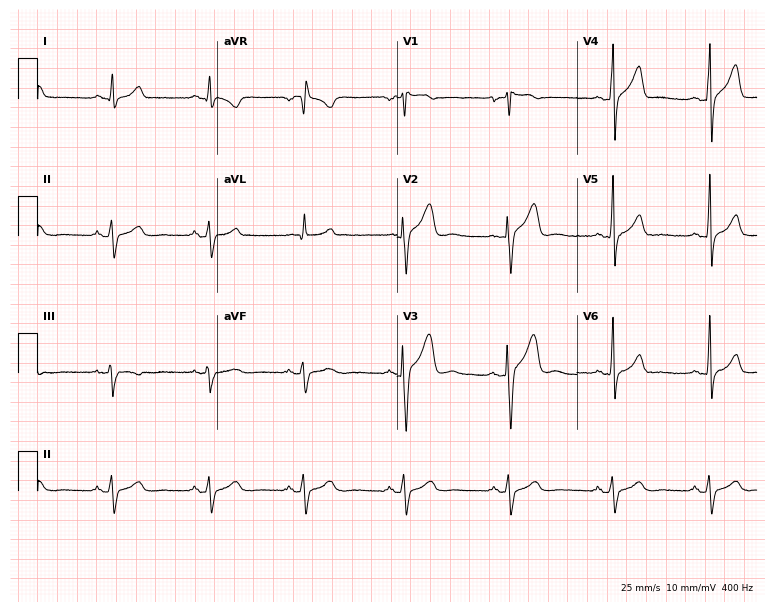
12-lead ECG from a male patient, 19 years old (7.3-second recording at 400 Hz). No first-degree AV block, right bundle branch block (RBBB), left bundle branch block (LBBB), sinus bradycardia, atrial fibrillation (AF) or sinus tachycardia recorded for this tracing.